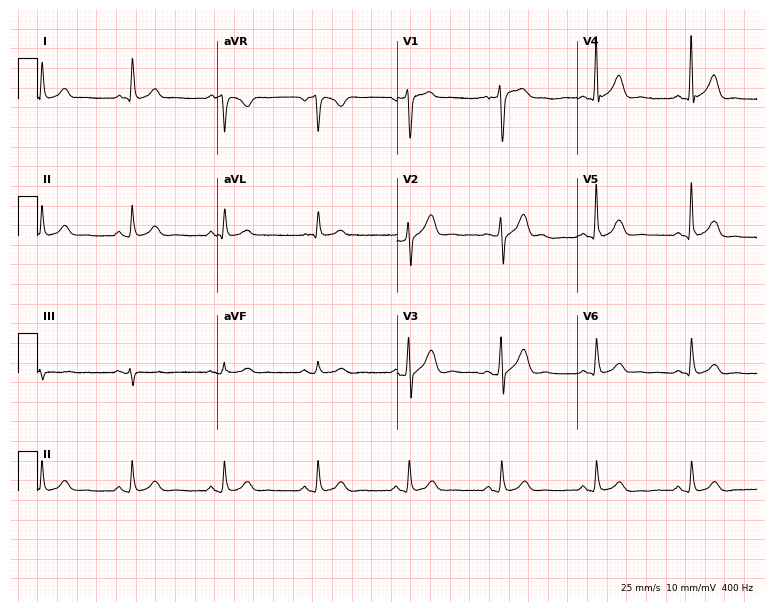
Standard 12-lead ECG recorded from a male, 62 years old (7.3-second recording at 400 Hz). Read as a normal ECG.